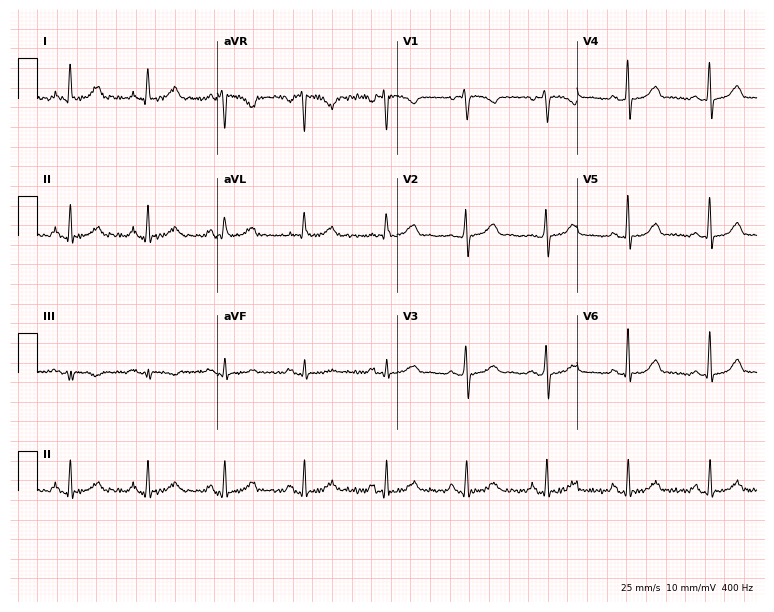
ECG — a 47-year-old female. Labelled as a normal ECG.